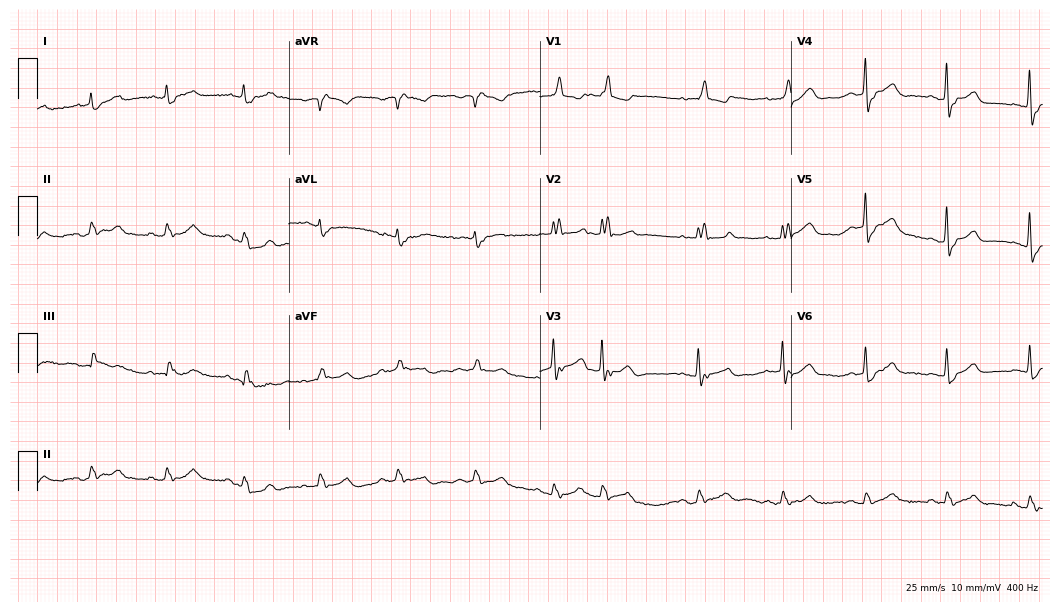
12-lead ECG from an 82-year-old man. Findings include right bundle branch block.